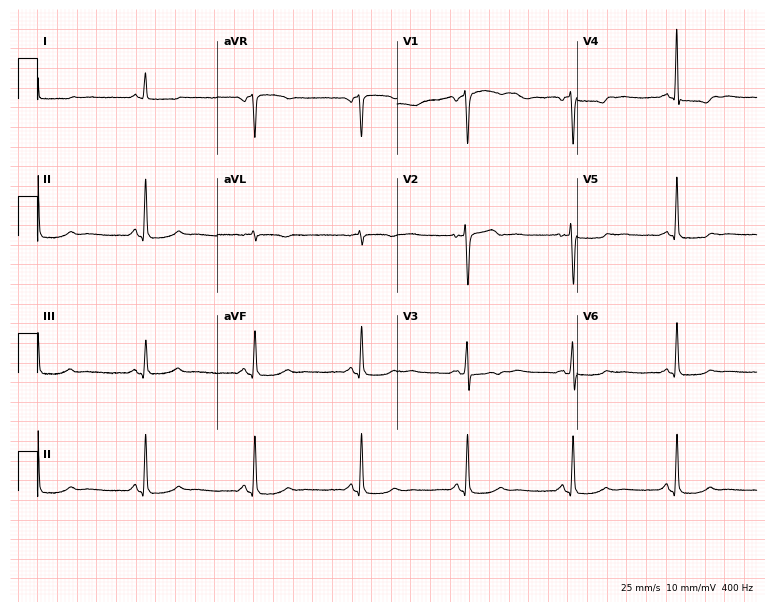
Electrocardiogram (7.3-second recording at 400 Hz), a female patient, 65 years old. Of the six screened findings (first-degree AV block, right bundle branch block (RBBB), left bundle branch block (LBBB), sinus bradycardia, atrial fibrillation (AF), sinus tachycardia), none is recorded.